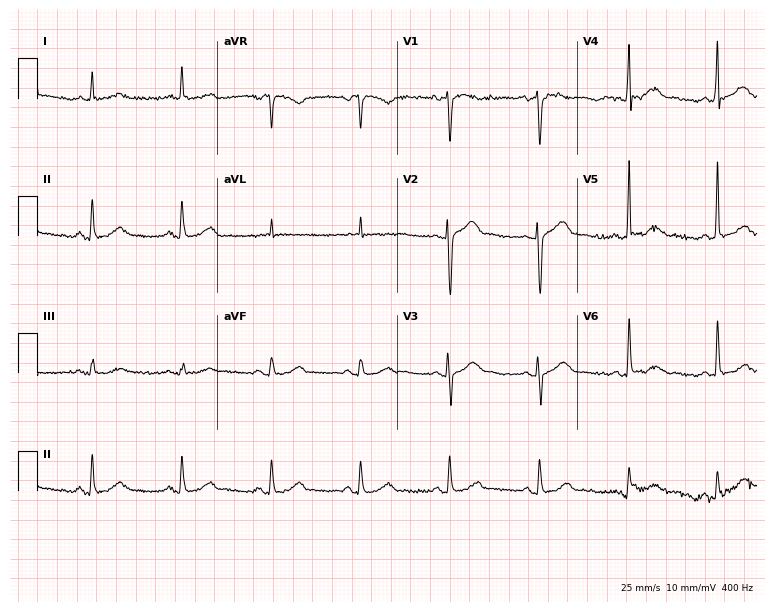
Standard 12-lead ECG recorded from a 61-year-old male patient (7.3-second recording at 400 Hz). Read as a normal ECG.